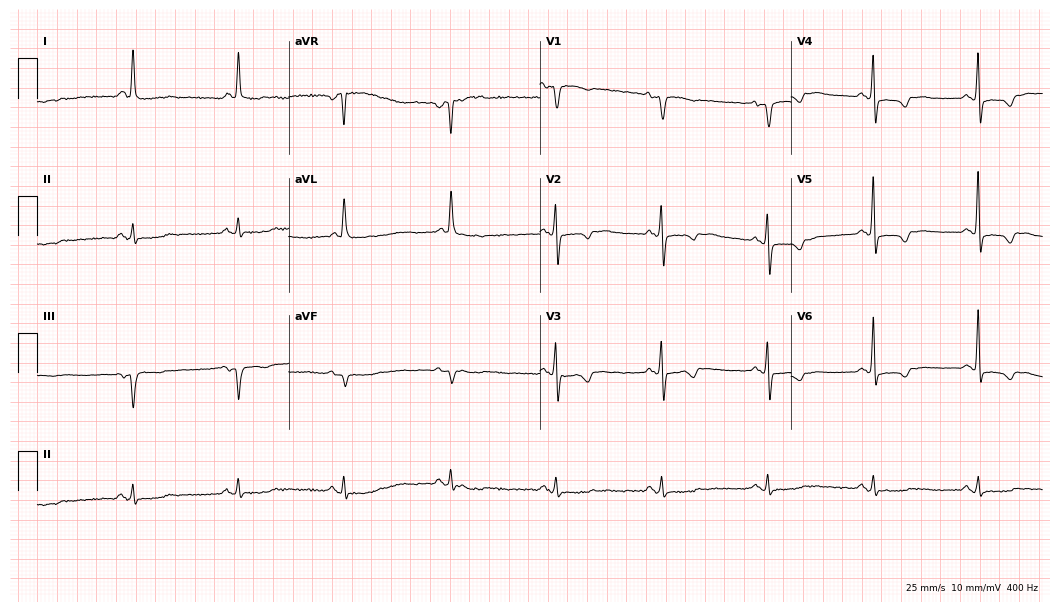
12-lead ECG from a female, 81 years old (10.2-second recording at 400 Hz). No first-degree AV block, right bundle branch block, left bundle branch block, sinus bradycardia, atrial fibrillation or sinus tachycardia recorded for this tracing. Only these six findings were labelled.